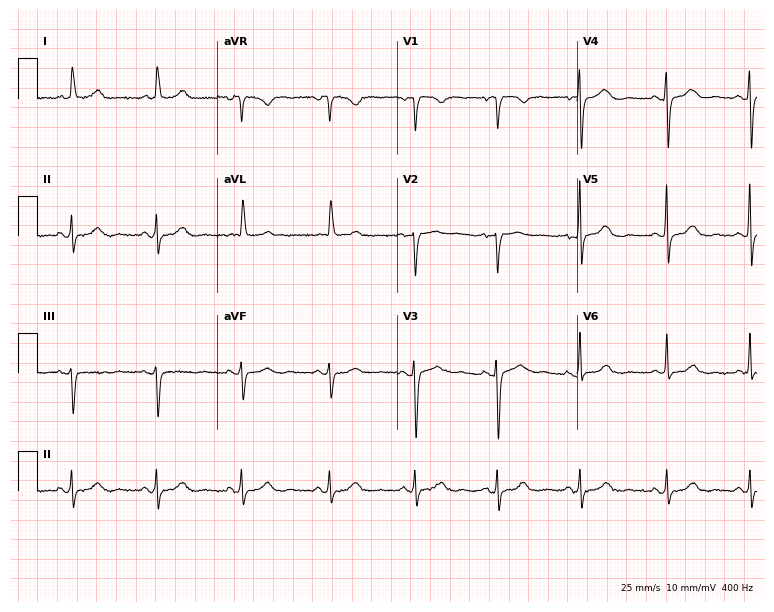
12-lead ECG from a female patient, 74 years old. Screened for six findings — first-degree AV block, right bundle branch block, left bundle branch block, sinus bradycardia, atrial fibrillation, sinus tachycardia — none is recorded.